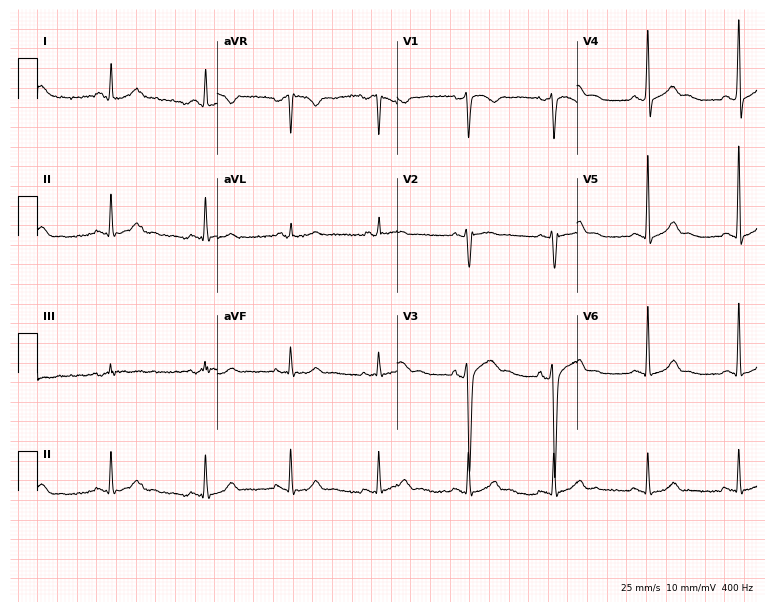
12-lead ECG (7.3-second recording at 400 Hz) from a male, 38 years old. Labelled as a normal ECG.